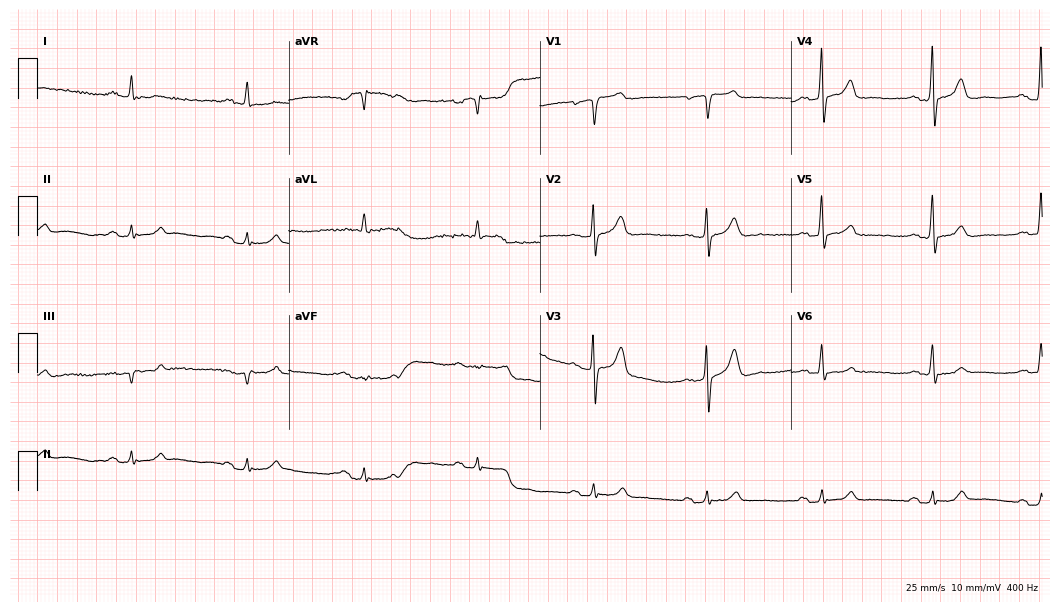
ECG (10.2-second recording at 400 Hz) — a 58-year-old male. Screened for six findings — first-degree AV block, right bundle branch block, left bundle branch block, sinus bradycardia, atrial fibrillation, sinus tachycardia — none is recorded. Only these six findings were labelled.